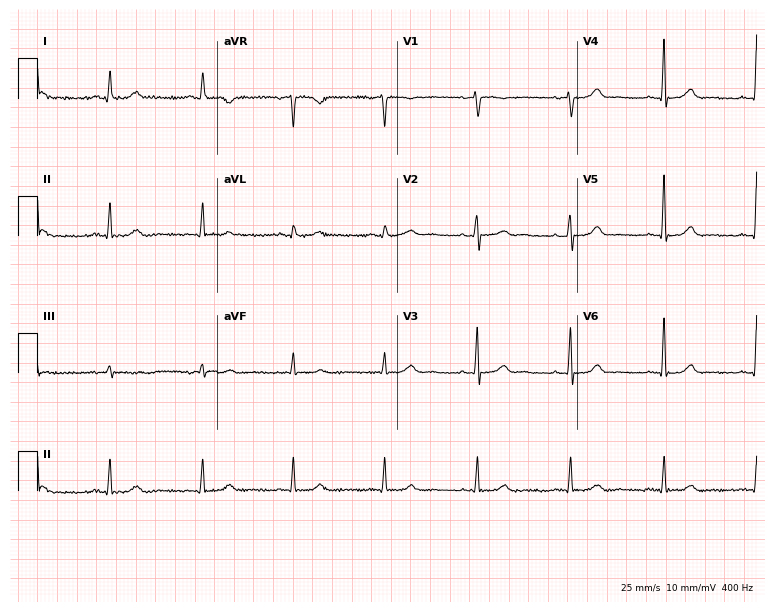
Electrocardiogram (7.3-second recording at 400 Hz), a woman, 69 years old. Overall reading on record: normal ECG.